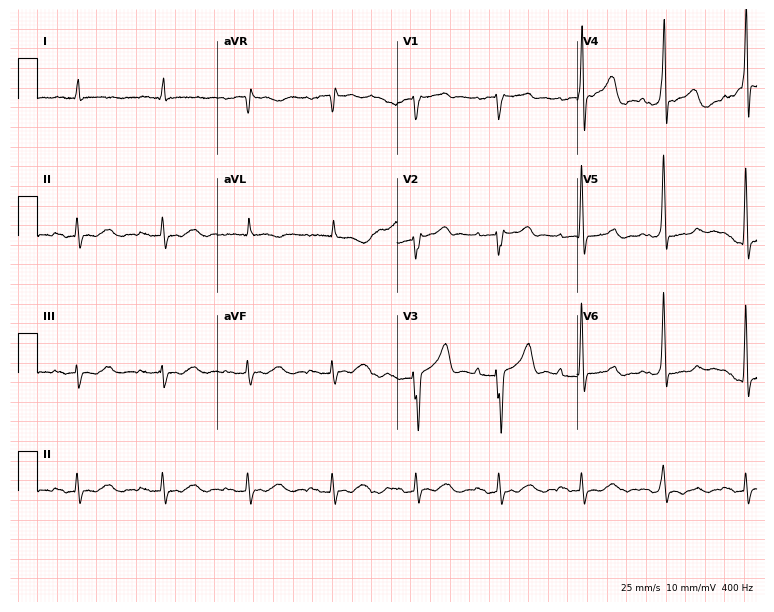
Electrocardiogram (7.3-second recording at 400 Hz), a 66-year-old male patient. Interpretation includes first-degree AV block.